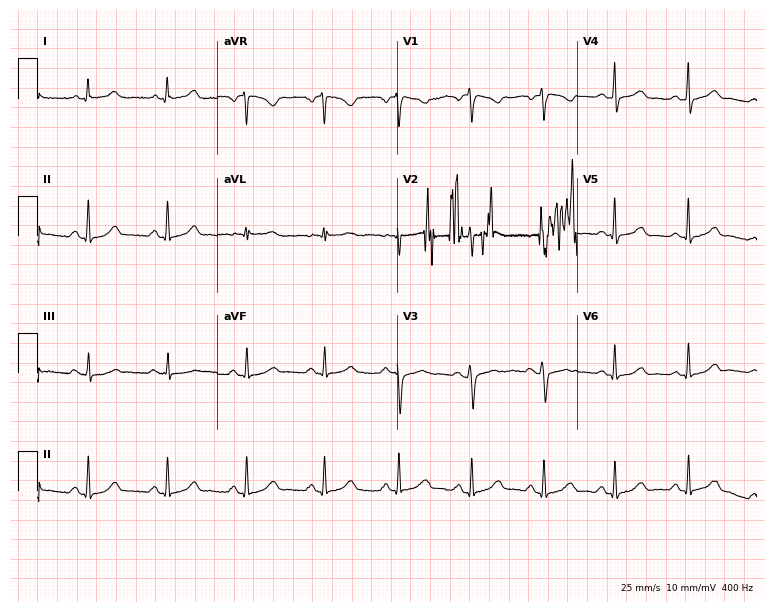
ECG — a female patient, 35 years old. Labelled as a normal ECG.